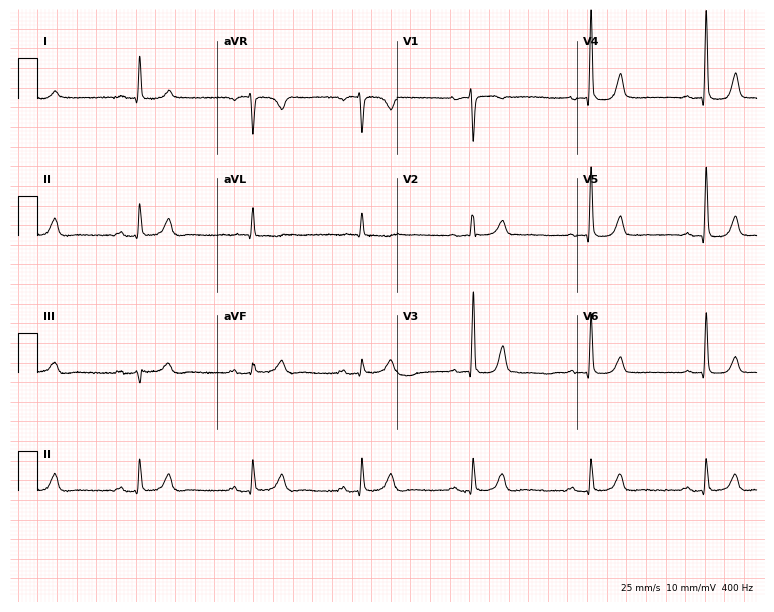
Electrocardiogram, a female, 68 years old. Overall reading on record: normal ECG.